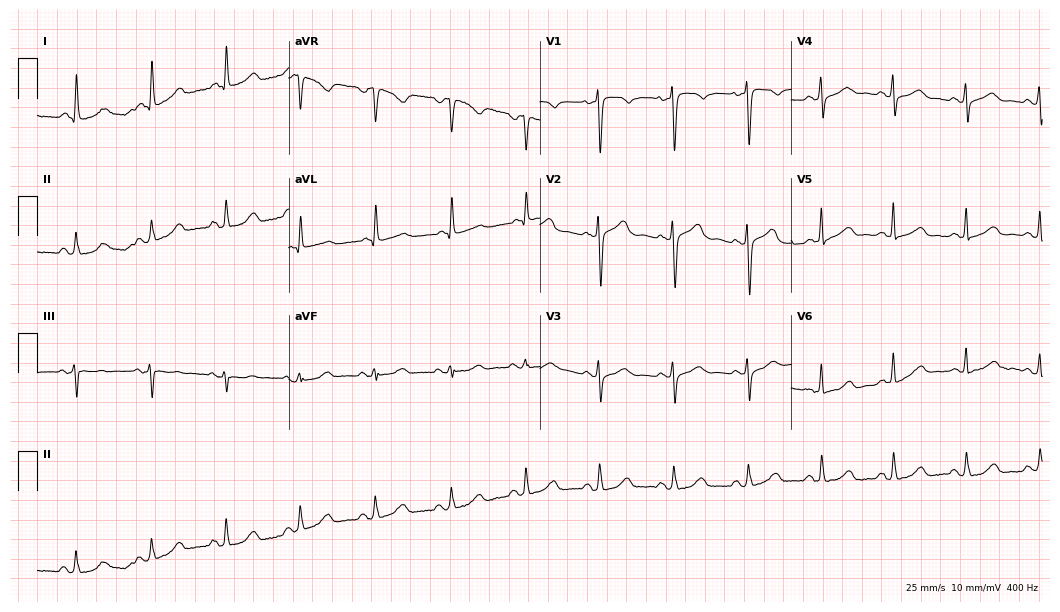
Standard 12-lead ECG recorded from a female patient, 69 years old. None of these six findings is recorded: first-degree AV block, right bundle branch block (RBBB), left bundle branch block (LBBB), sinus bradycardia, atrial fibrillation (AF), sinus tachycardia.